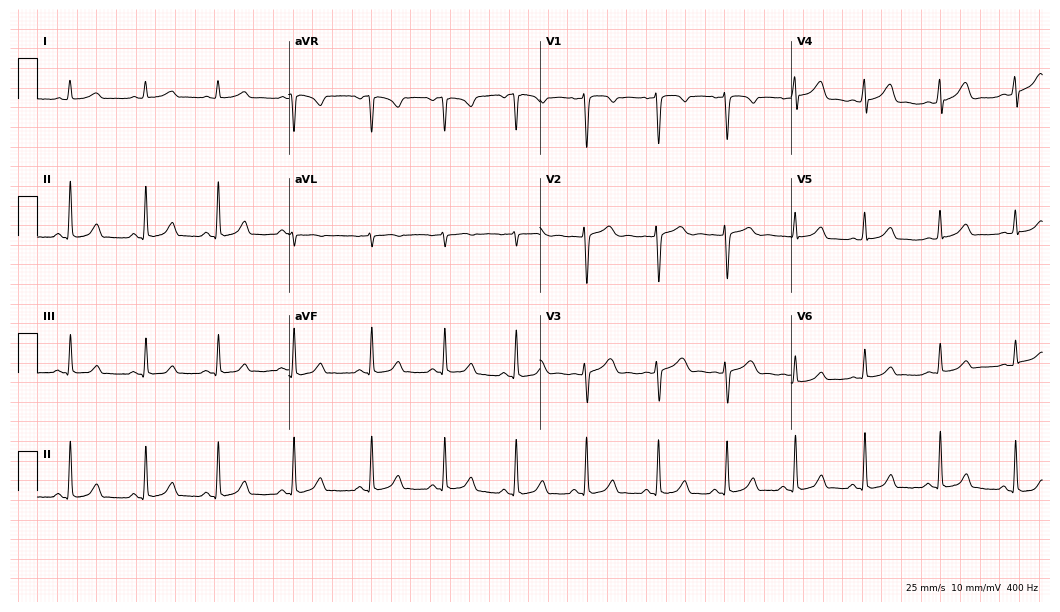
ECG (10.2-second recording at 400 Hz) — a woman, 27 years old. Labelled as a normal ECG.